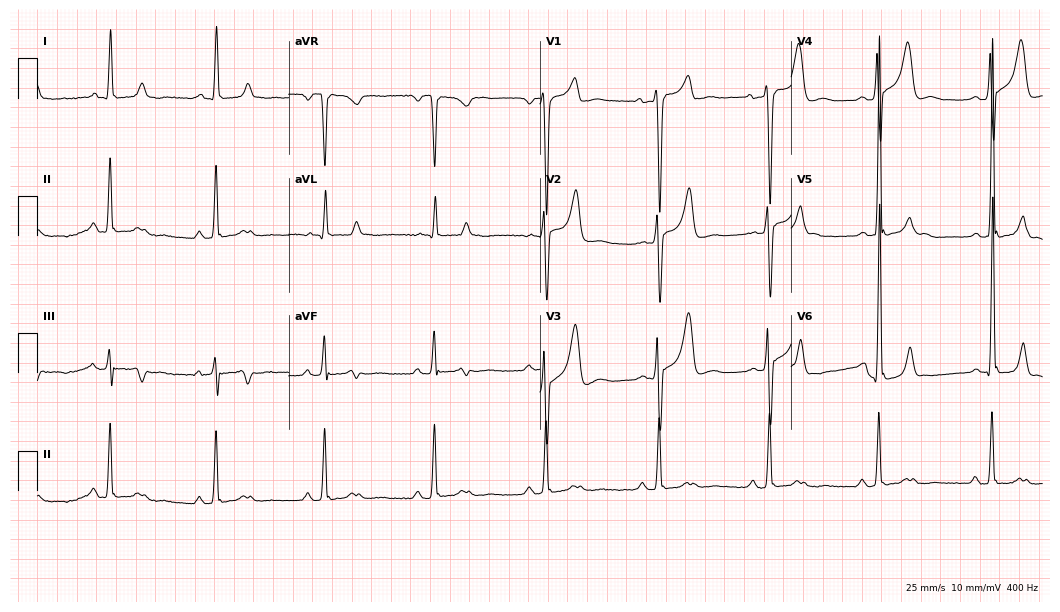
Electrocardiogram (10.2-second recording at 400 Hz), a 28-year-old man. Of the six screened findings (first-degree AV block, right bundle branch block, left bundle branch block, sinus bradycardia, atrial fibrillation, sinus tachycardia), none is recorded.